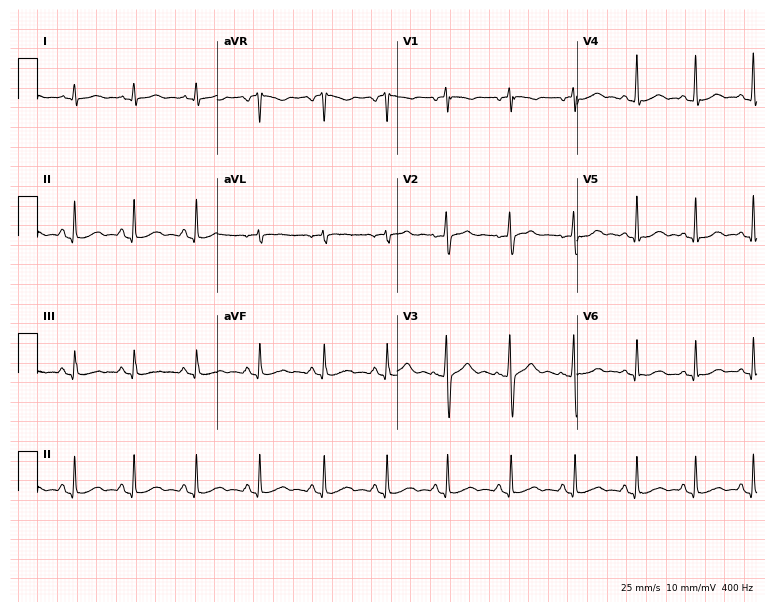
ECG — a woman, 23 years old. Labelled as a normal ECG.